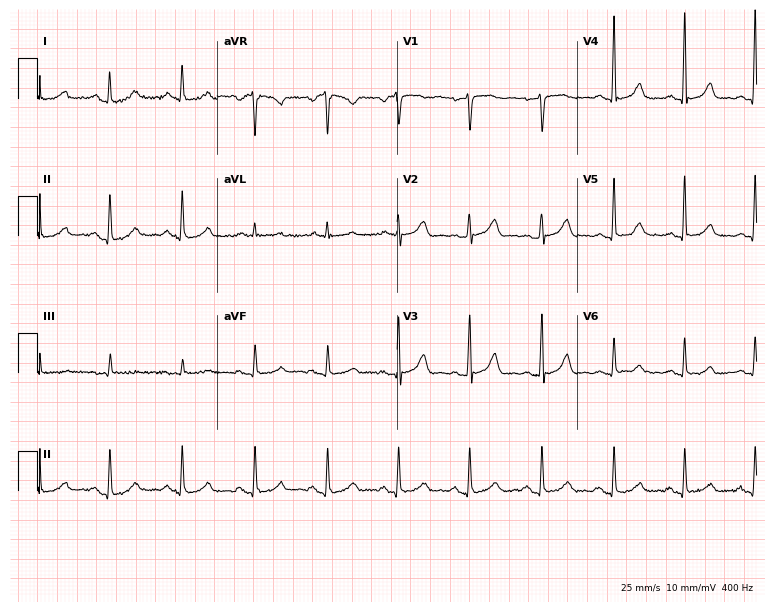
12-lead ECG from a female, 57 years old. Screened for six findings — first-degree AV block, right bundle branch block (RBBB), left bundle branch block (LBBB), sinus bradycardia, atrial fibrillation (AF), sinus tachycardia — none is recorded.